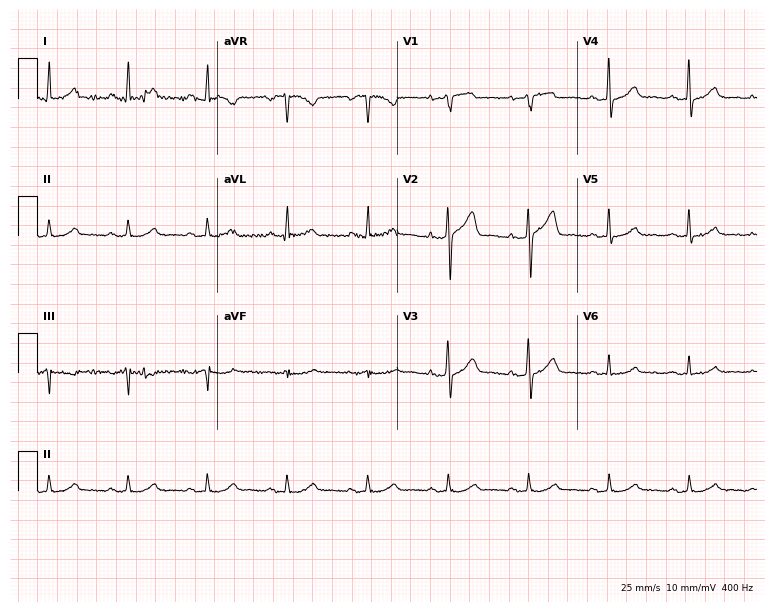
12-lead ECG from a man, 78 years old (7.3-second recording at 400 Hz). Recorded interpretation: within normal limits.